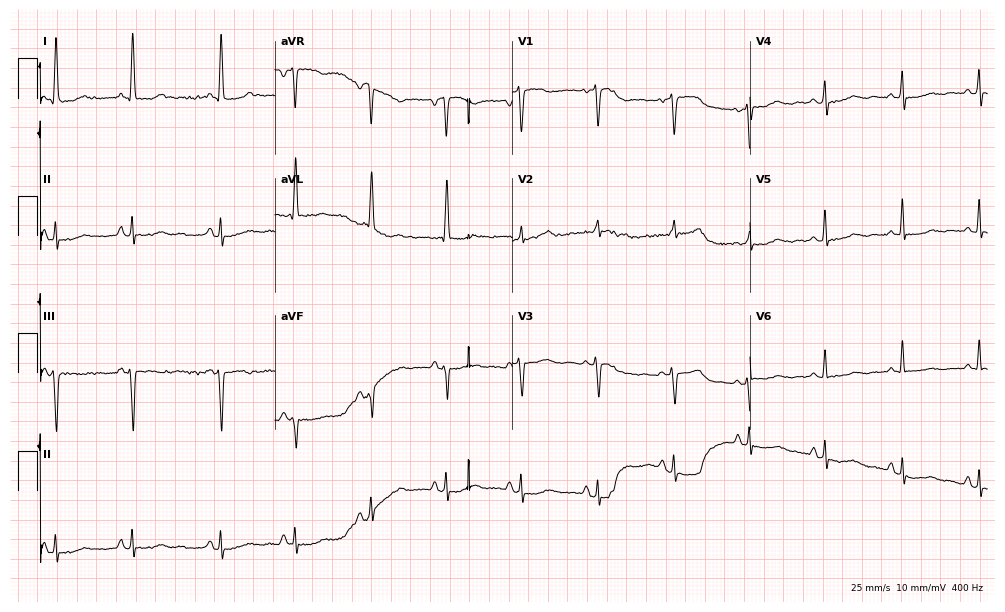
12-lead ECG from a 66-year-old woman. Screened for six findings — first-degree AV block, right bundle branch block (RBBB), left bundle branch block (LBBB), sinus bradycardia, atrial fibrillation (AF), sinus tachycardia — none is recorded.